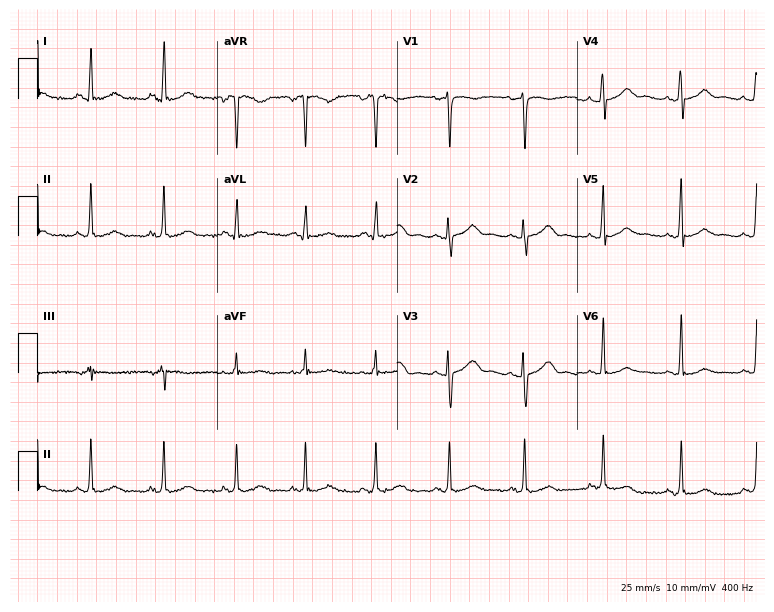
12-lead ECG from a 44-year-old female (7.3-second recording at 400 Hz). No first-degree AV block, right bundle branch block, left bundle branch block, sinus bradycardia, atrial fibrillation or sinus tachycardia recorded for this tracing. Only these six findings were labelled.